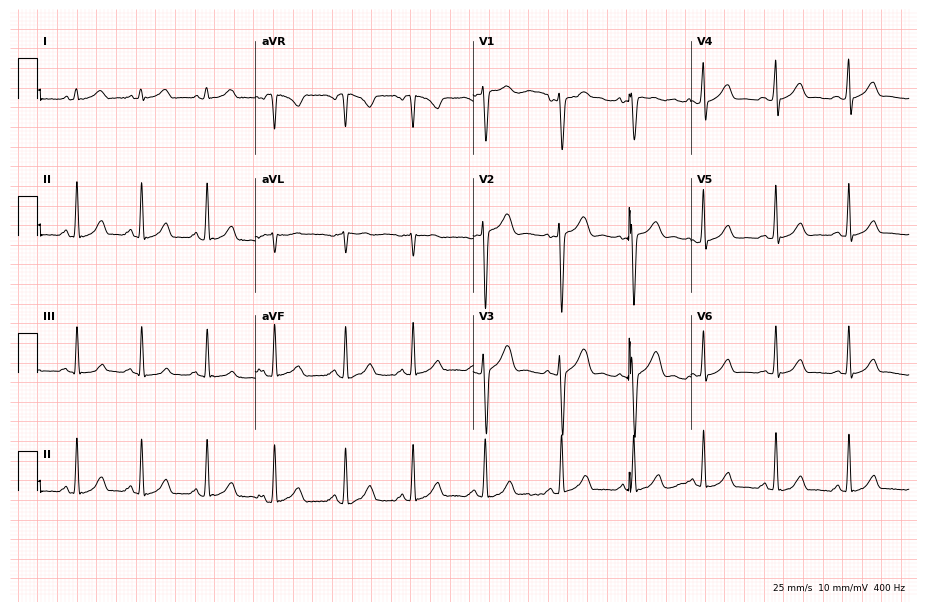
ECG — an 18-year-old woman. Labelled as a normal ECG.